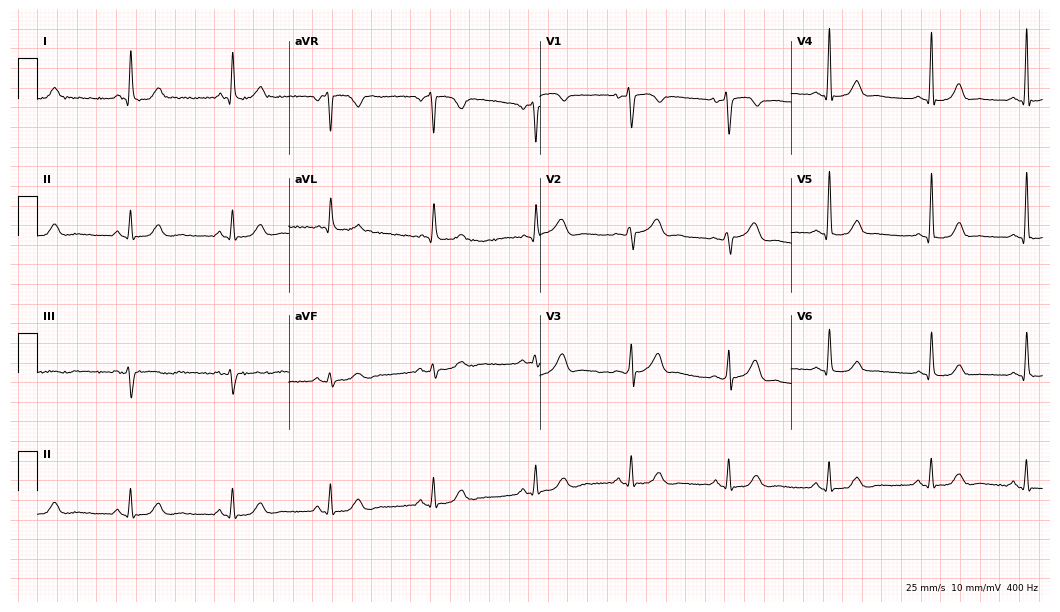
Standard 12-lead ECG recorded from a woman, 57 years old (10.2-second recording at 400 Hz). Read as a normal ECG.